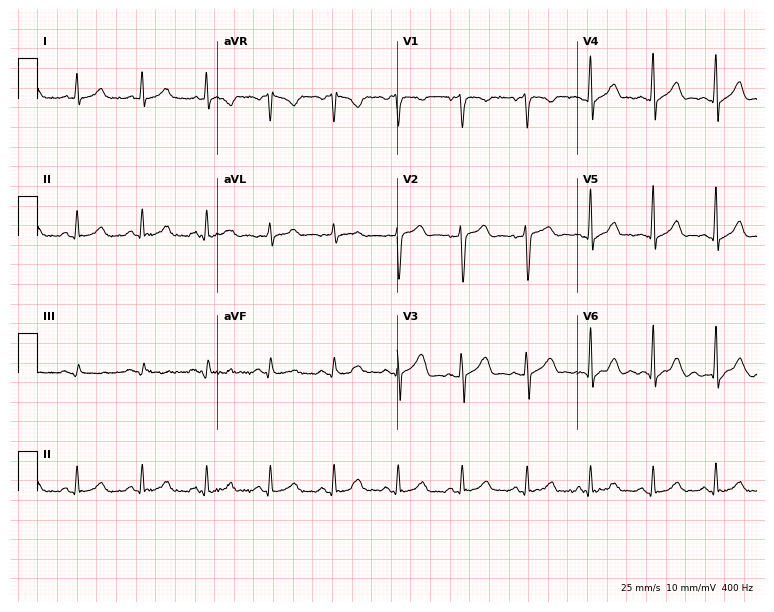
12-lead ECG from a male patient, 51 years old. No first-degree AV block, right bundle branch block, left bundle branch block, sinus bradycardia, atrial fibrillation or sinus tachycardia recorded for this tracing.